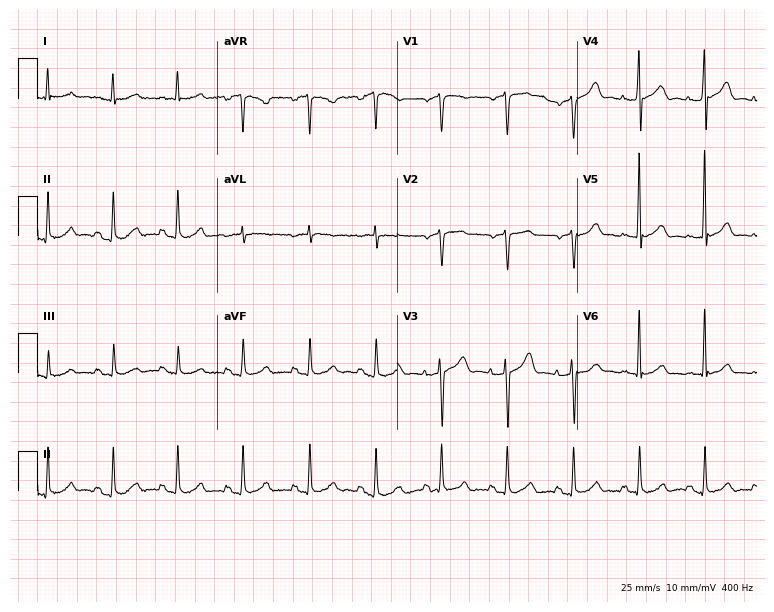
Electrocardiogram, a 78-year-old female. Of the six screened findings (first-degree AV block, right bundle branch block, left bundle branch block, sinus bradycardia, atrial fibrillation, sinus tachycardia), none is recorded.